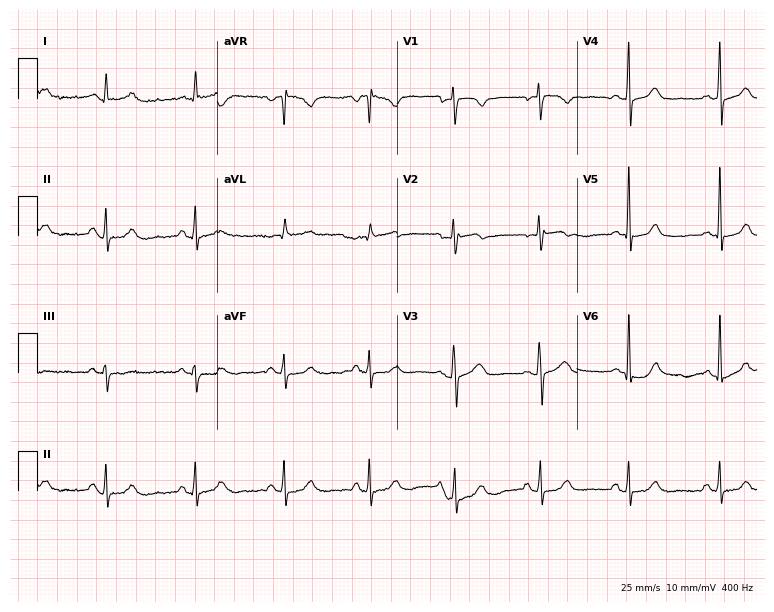
ECG — a 62-year-old female patient. Labelled as a normal ECG.